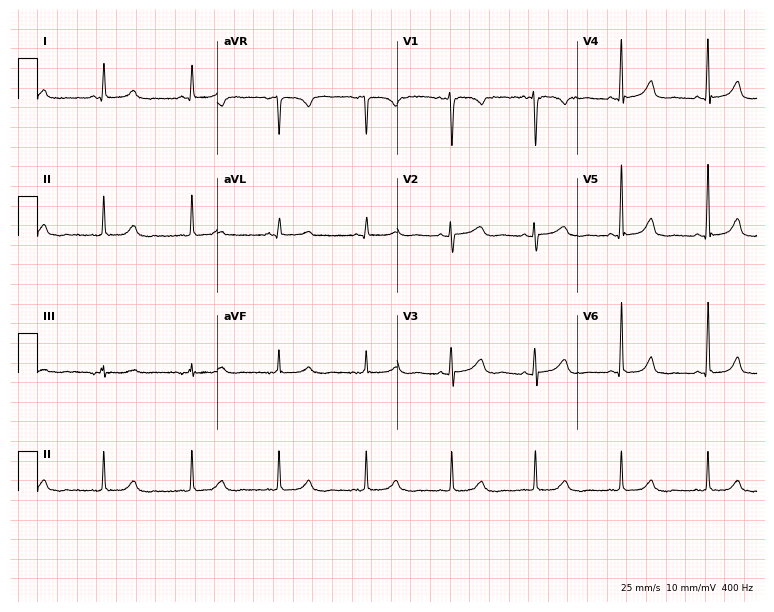
12-lead ECG (7.3-second recording at 400 Hz) from a woman, 55 years old. Screened for six findings — first-degree AV block, right bundle branch block, left bundle branch block, sinus bradycardia, atrial fibrillation, sinus tachycardia — none is recorded. Findings outside these six are not listed.